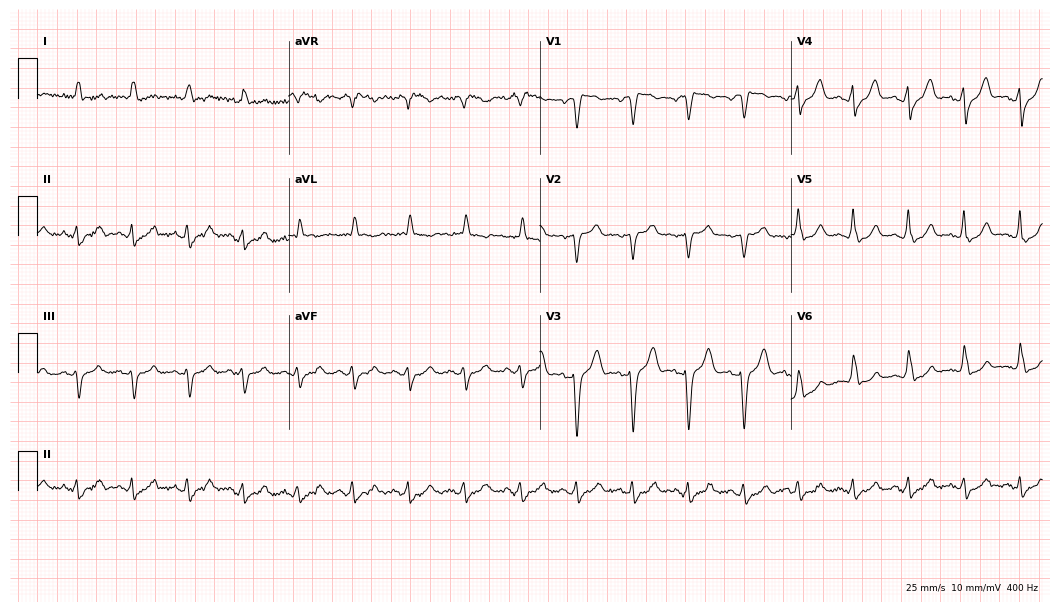
Electrocardiogram, a female, 82 years old. Interpretation includes sinus tachycardia (a sinus rate of 100 beats per minute or more).